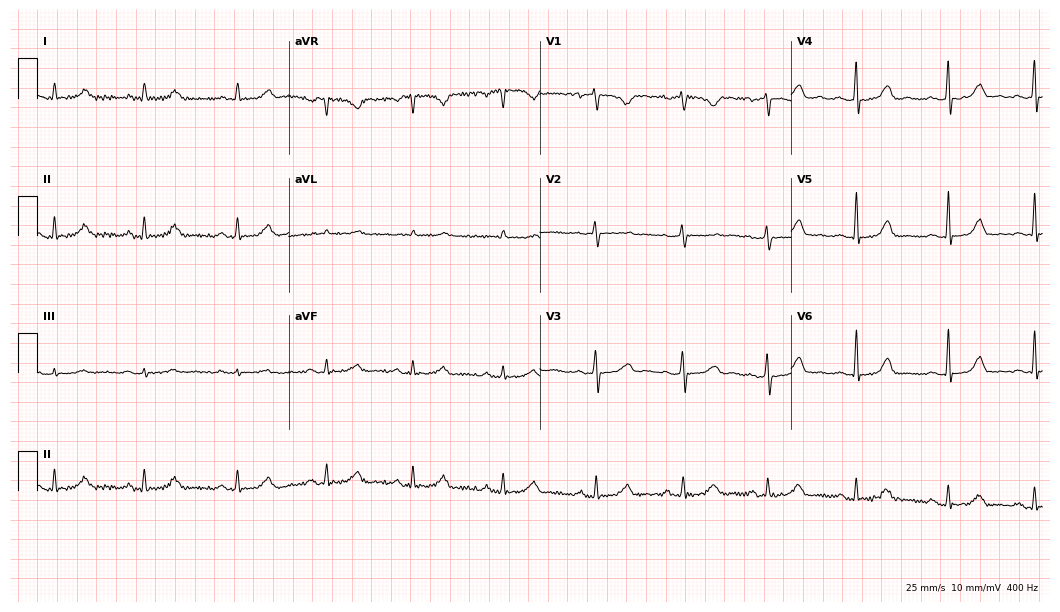
Resting 12-lead electrocardiogram. Patient: a 45-year-old female. None of these six findings is recorded: first-degree AV block, right bundle branch block, left bundle branch block, sinus bradycardia, atrial fibrillation, sinus tachycardia. Other findings, if any, are not listed.